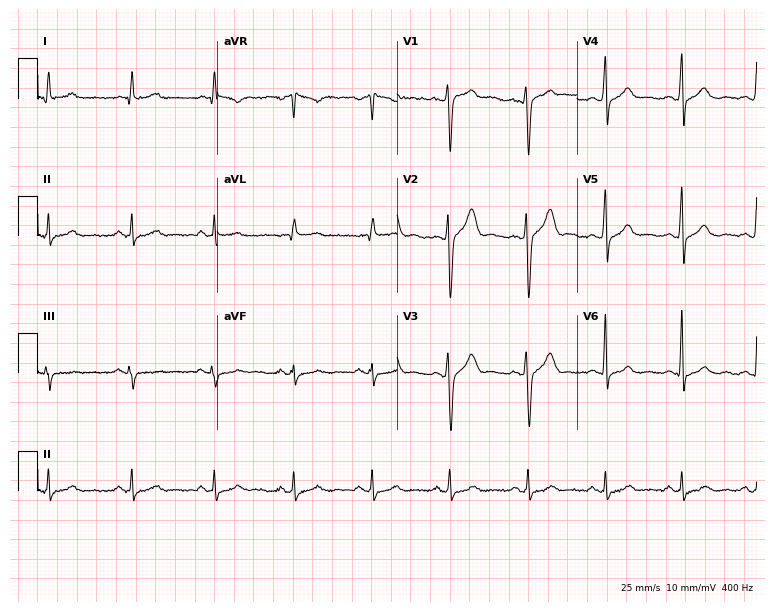
Resting 12-lead electrocardiogram (7.3-second recording at 400 Hz). Patient: a 27-year-old man. Read as a normal ECG.